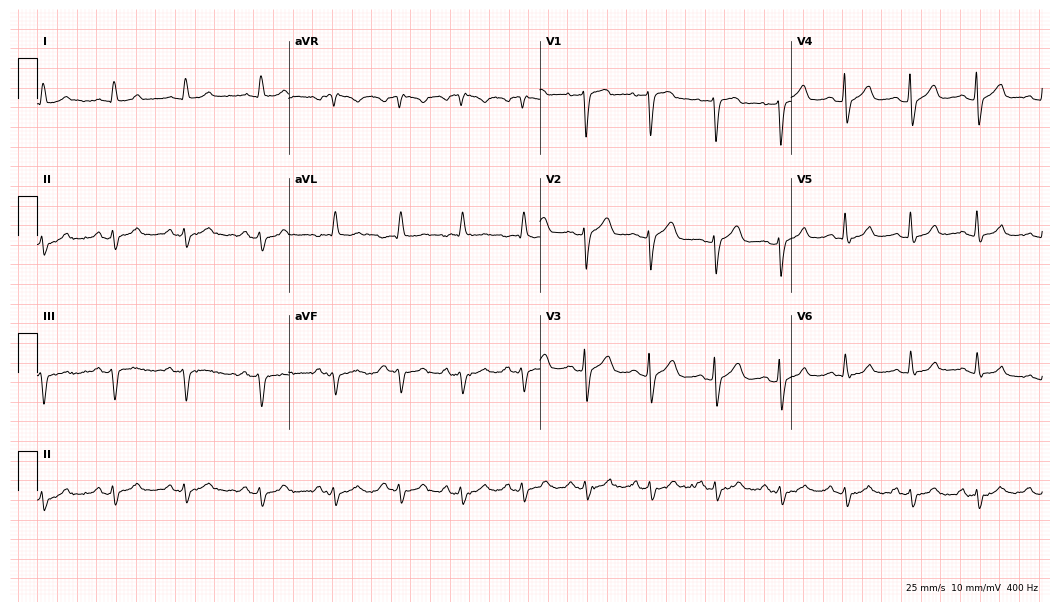
12-lead ECG (10.2-second recording at 400 Hz) from a 64-year-old man. Screened for six findings — first-degree AV block, right bundle branch block, left bundle branch block, sinus bradycardia, atrial fibrillation, sinus tachycardia — none is recorded. Other findings, if any, are not listed.